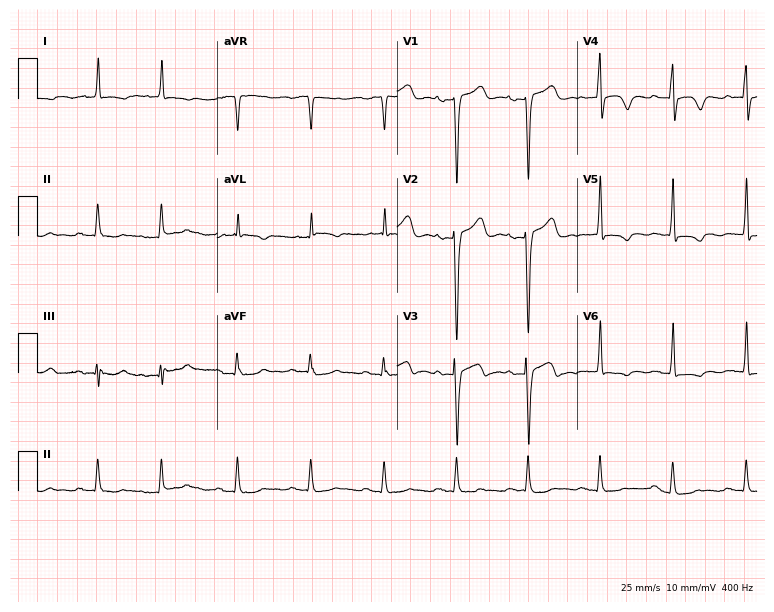
ECG — a 79-year-old man. Screened for six findings — first-degree AV block, right bundle branch block, left bundle branch block, sinus bradycardia, atrial fibrillation, sinus tachycardia — none is recorded. Findings outside these six are not listed.